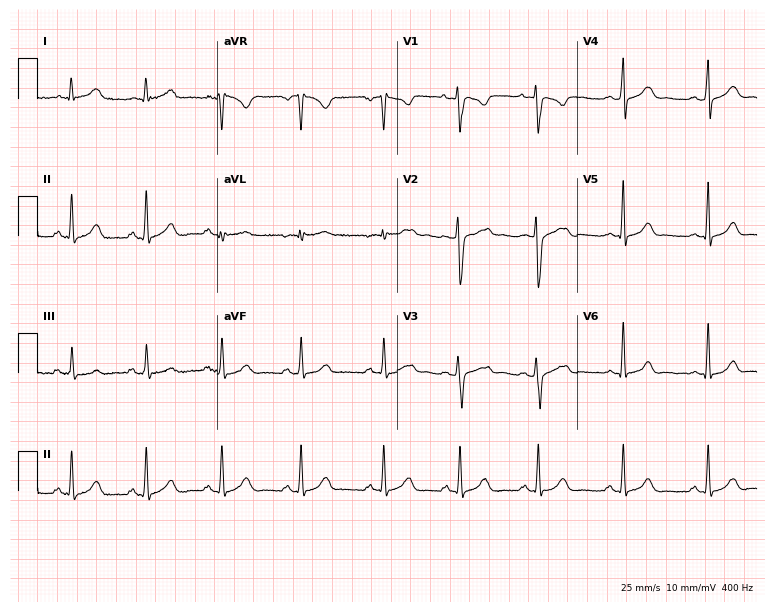
Electrocardiogram, a female, 28 years old. Overall reading on record: normal ECG.